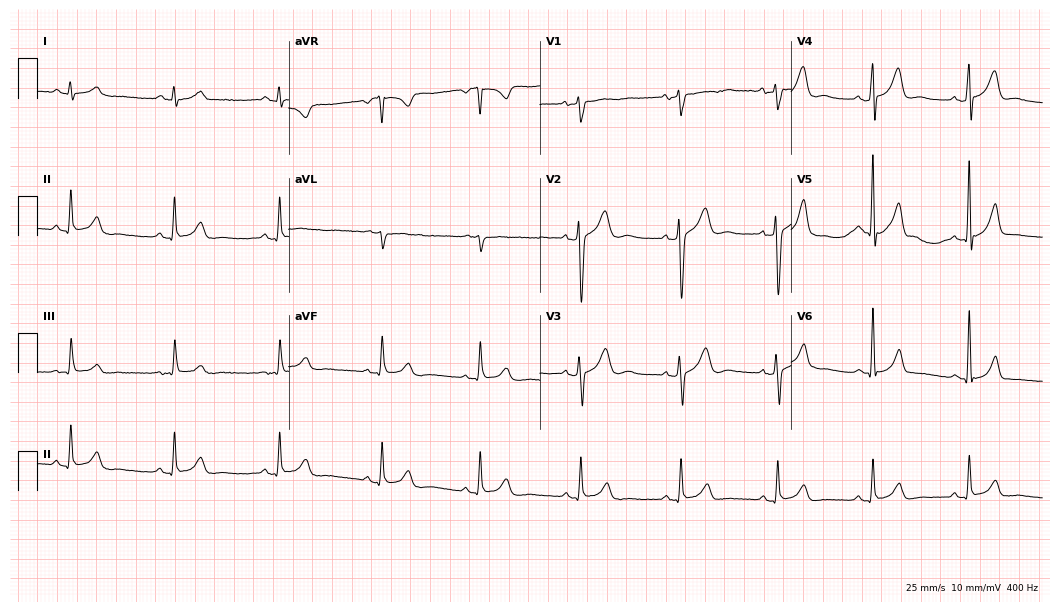
12-lead ECG (10.2-second recording at 400 Hz) from a 43-year-old man. Labelled as a normal ECG.